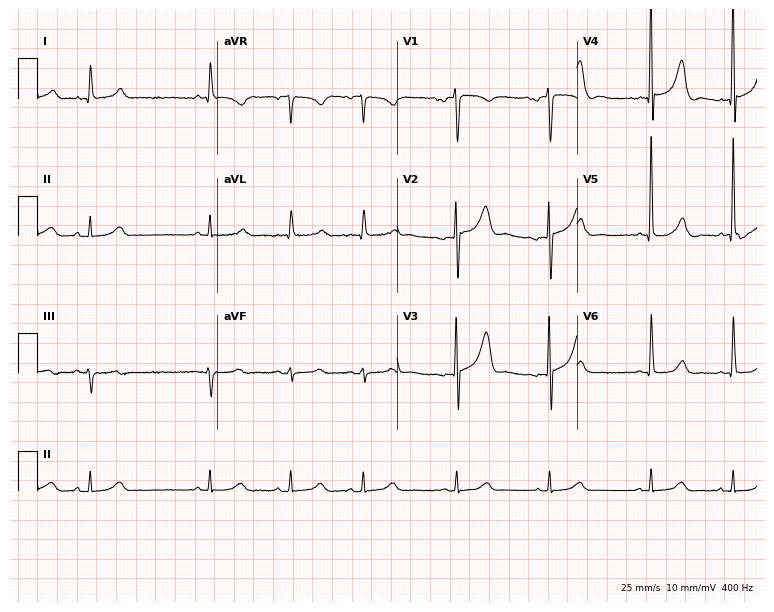
Standard 12-lead ECG recorded from a man, 85 years old (7.3-second recording at 400 Hz). Read as a normal ECG.